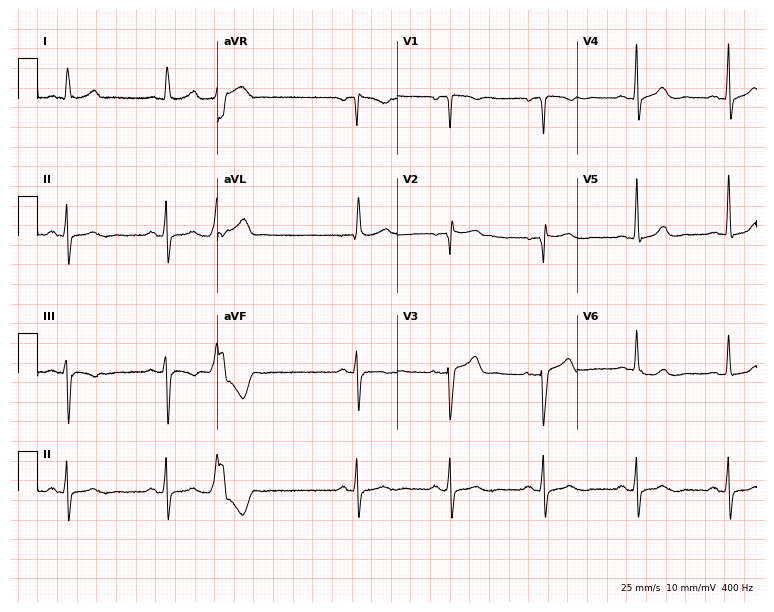
Electrocardiogram, a man, 66 years old. Overall reading on record: normal ECG.